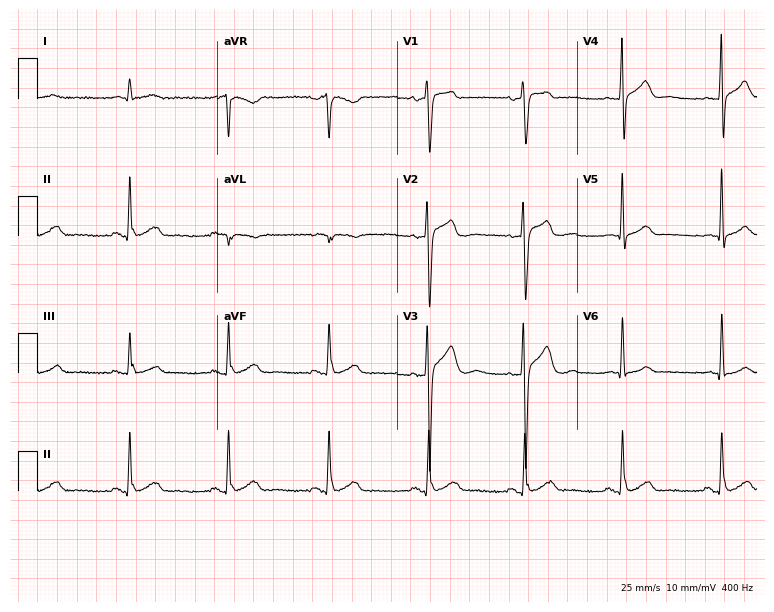
12-lead ECG from a male, 58 years old (7.3-second recording at 400 Hz). No first-degree AV block, right bundle branch block (RBBB), left bundle branch block (LBBB), sinus bradycardia, atrial fibrillation (AF) or sinus tachycardia recorded for this tracing.